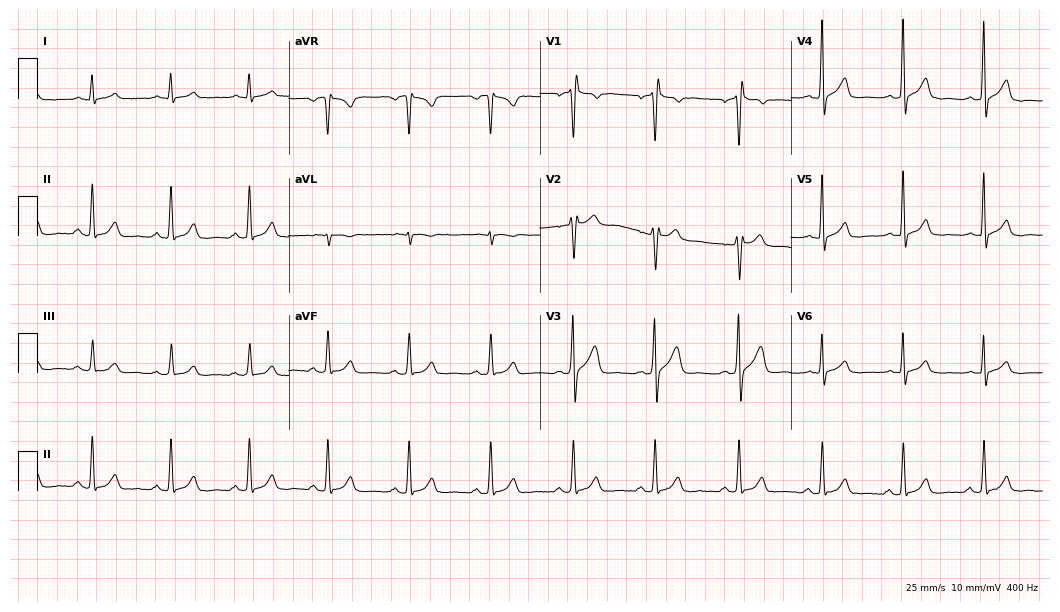
Resting 12-lead electrocardiogram. Patient: a 41-year-old man. None of these six findings is recorded: first-degree AV block, right bundle branch block, left bundle branch block, sinus bradycardia, atrial fibrillation, sinus tachycardia. Only these six findings were labelled.